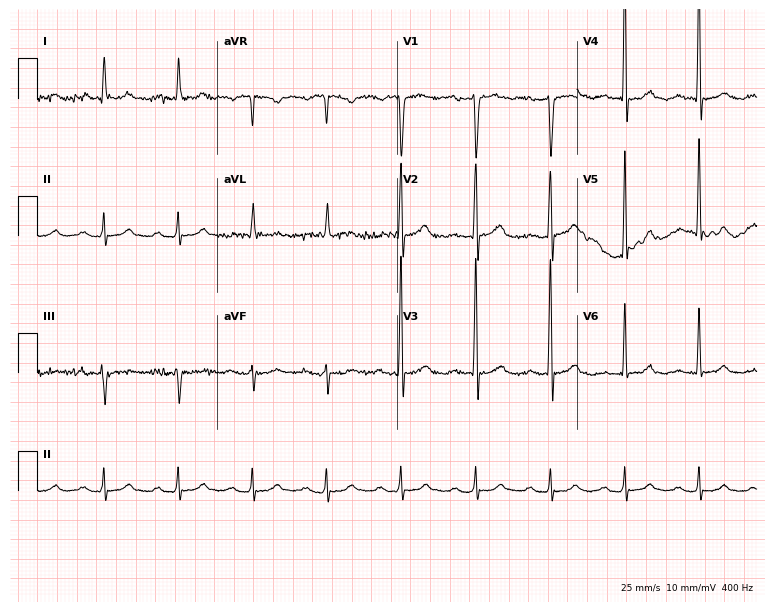
Electrocardiogram (7.3-second recording at 400 Hz), a male patient, 80 years old. Interpretation includes first-degree AV block.